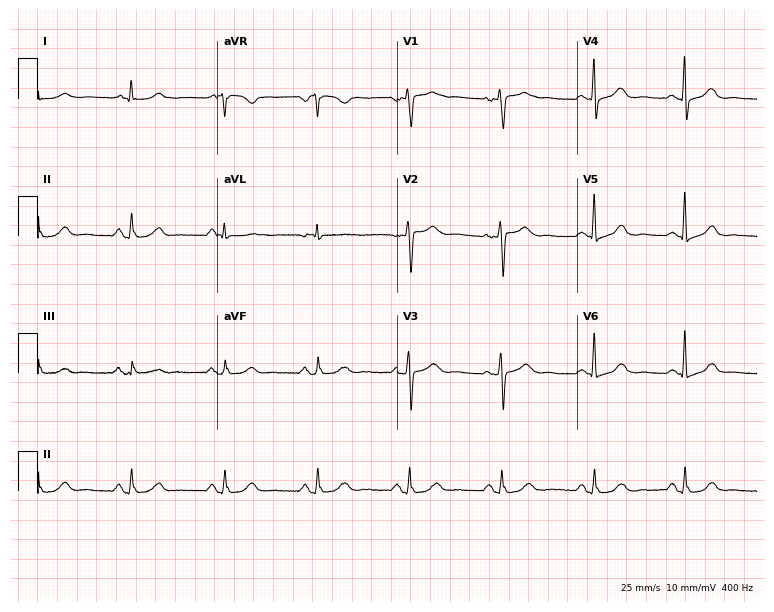
Resting 12-lead electrocardiogram (7.3-second recording at 400 Hz). Patient: a 68-year-old female. Read as a normal ECG.